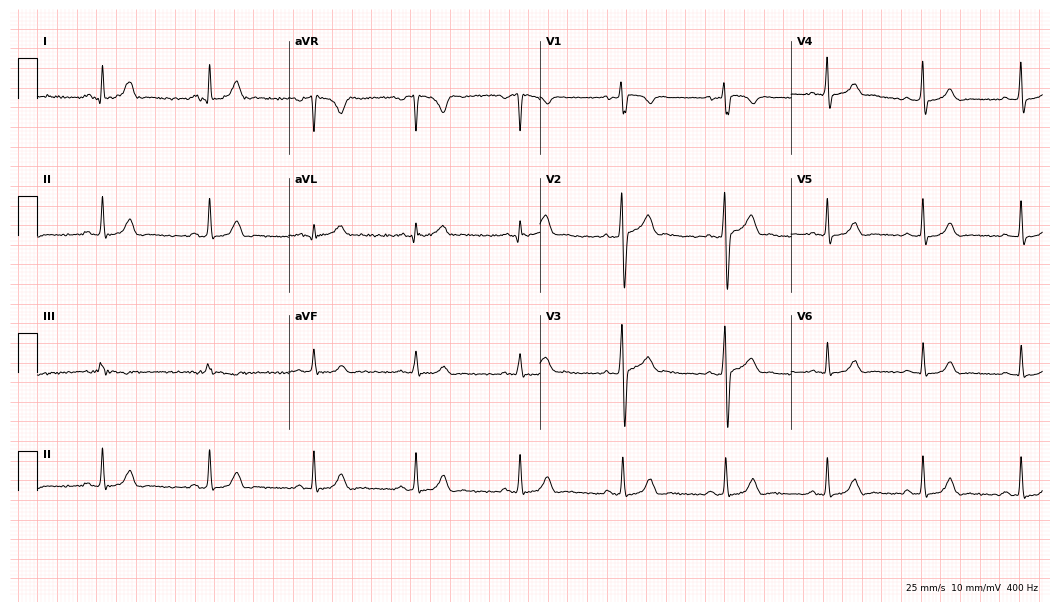
Resting 12-lead electrocardiogram. Patient: a 30-year-old woman. Read as a normal ECG.